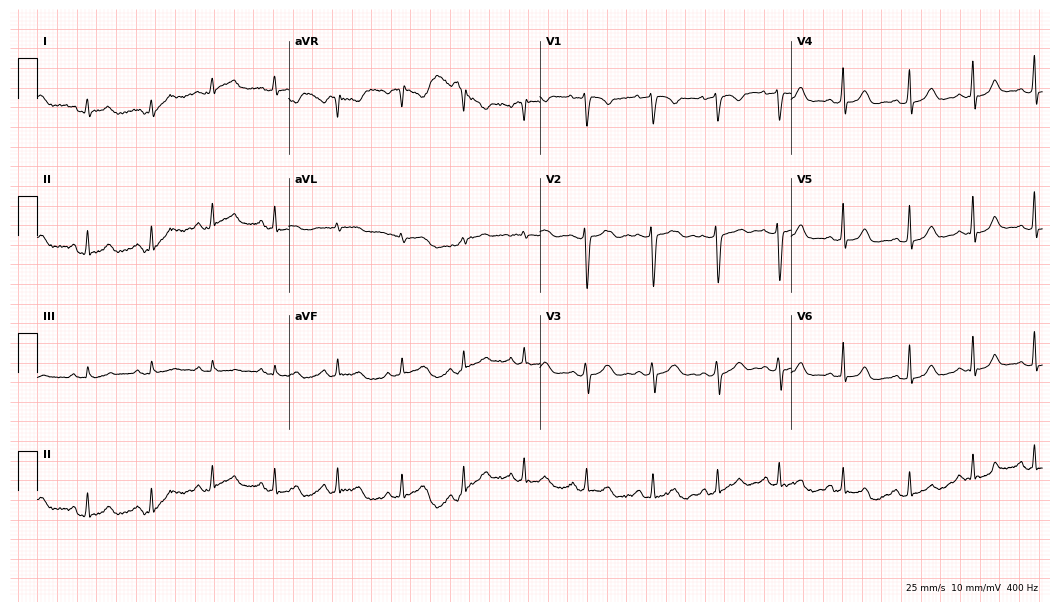
12-lead ECG (10.2-second recording at 400 Hz) from a 26-year-old female. Screened for six findings — first-degree AV block, right bundle branch block, left bundle branch block, sinus bradycardia, atrial fibrillation, sinus tachycardia — none is recorded.